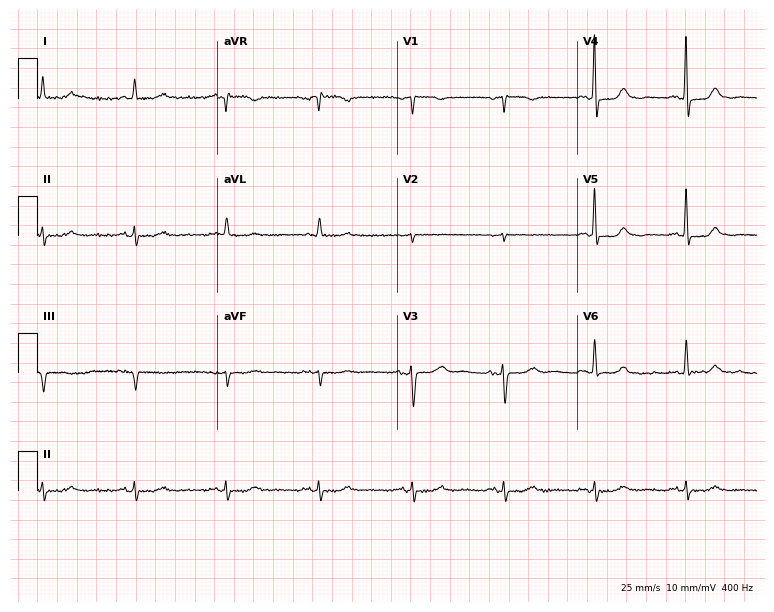
Electrocardiogram (7.3-second recording at 400 Hz), a female patient, 84 years old. Of the six screened findings (first-degree AV block, right bundle branch block, left bundle branch block, sinus bradycardia, atrial fibrillation, sinus tachycardia), none is recorded.